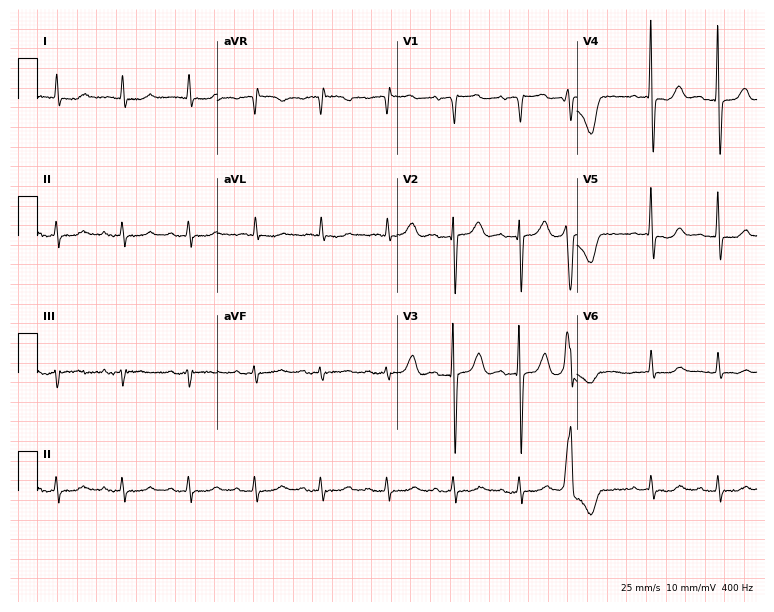
Standard 12-lead ECG recorded from a female patient, 87 years old. None of these six findings is recorded: first-degree AV block, right bundle branch block (RBBB), left bundle branch block (LBBB), sinus bradycardia, atrial fibrillation (AF), sinus tachycardia.